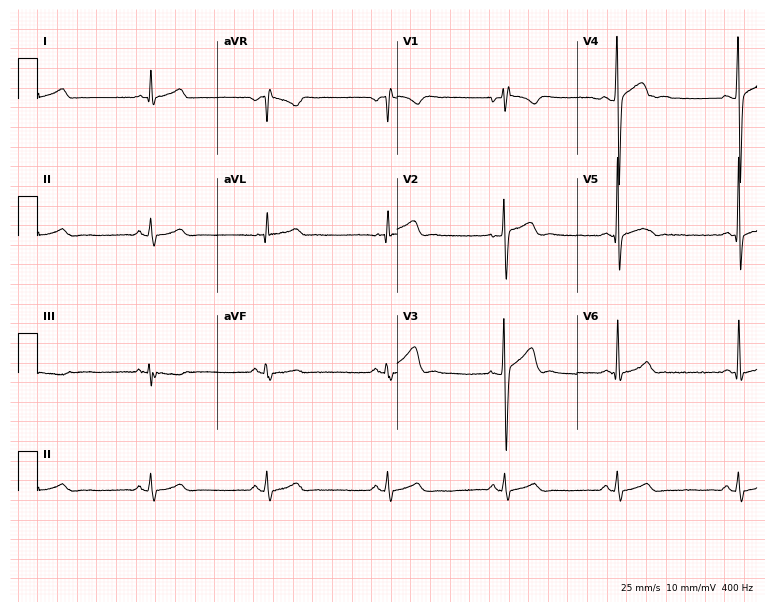
12-lead ECG from a man, 26 years old. Shows sinus bradycardia (a sinus rate of 50 beats per minute or less).